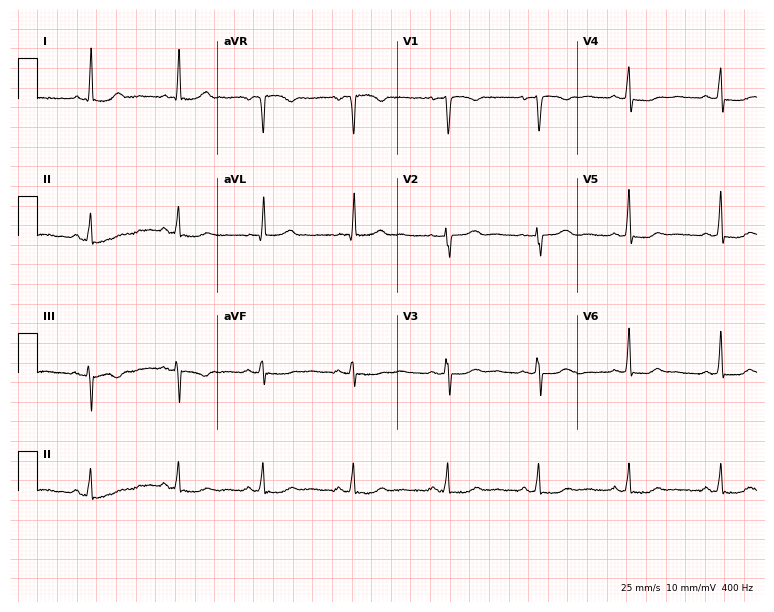
Standard 12-lead ECG recorded from a 46-year-old female (7.3-second recording at 400 Hz). None of these six findings is recorded: first-degree AV block, right bundle branch block (RBBB), left bundle branch block (LBBB), sinus bradycardia, atrial fibrillation (AF), sinus tachycardia.